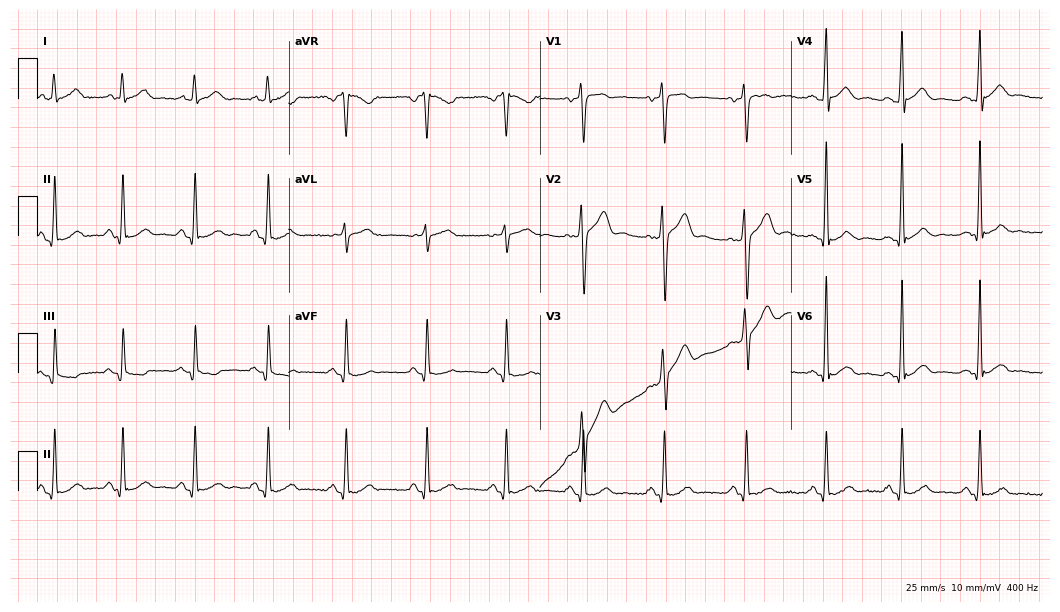
Resting 12-lead electrocardiogram (10.2-second recording at 400 Hz). Patient: a 33-year-old man. Read as a normal ECG.